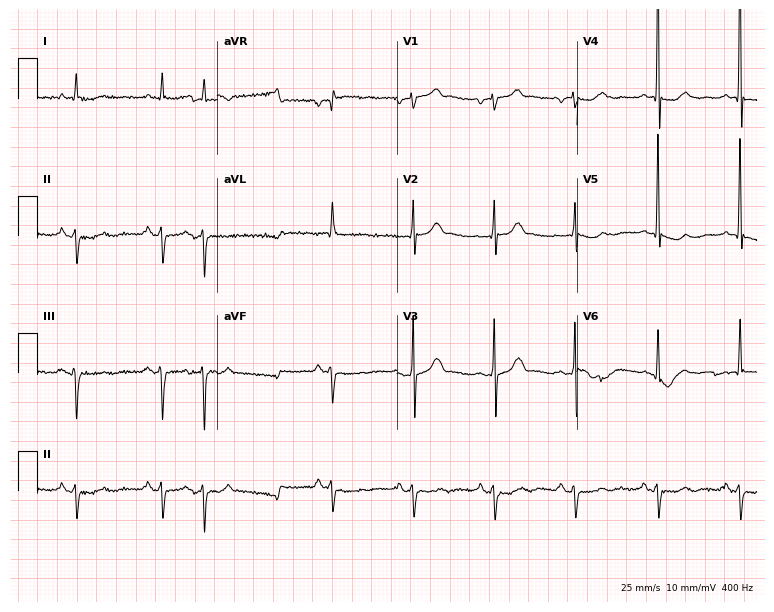
12-lead ECG from a male, 77 years old (7.3-second recording at 400 Hz). No first-degree AV block, right bundle branch block, left bundle branch block, sinus bradycardia, atrial fibrillation or sinus tachycardia recorded for this tracing.